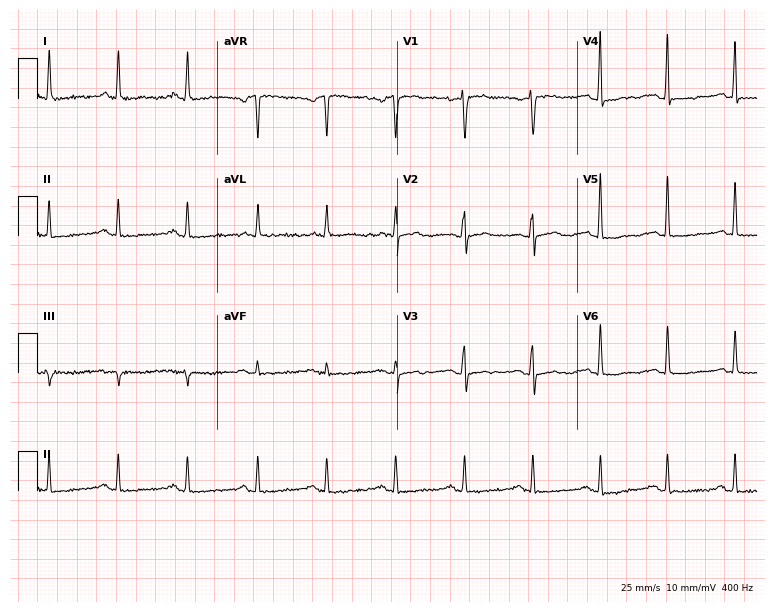
ECG (7.3-second recording at 400 Hz) — a 61-year-old woman. Screened for six findings — first-degree AV block, right bundle branch block, left bundle branch block, sinus bradycardia, atrial fibrillation, sinus tachycardia — none is recorded.